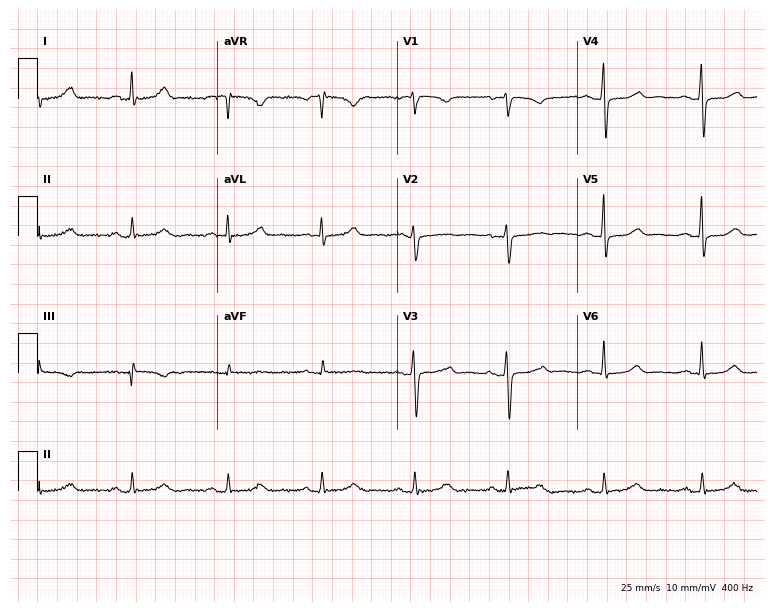
Standard 12-lead ECG recorded from a 54-year-old female patient. None of these six findings is recorded: first-degree AV block, right bundle branch block, left bundle branch block, sinus bradycardia, atrial fibrillation, sinus tachycardia. Other findings, if any, are not listed.